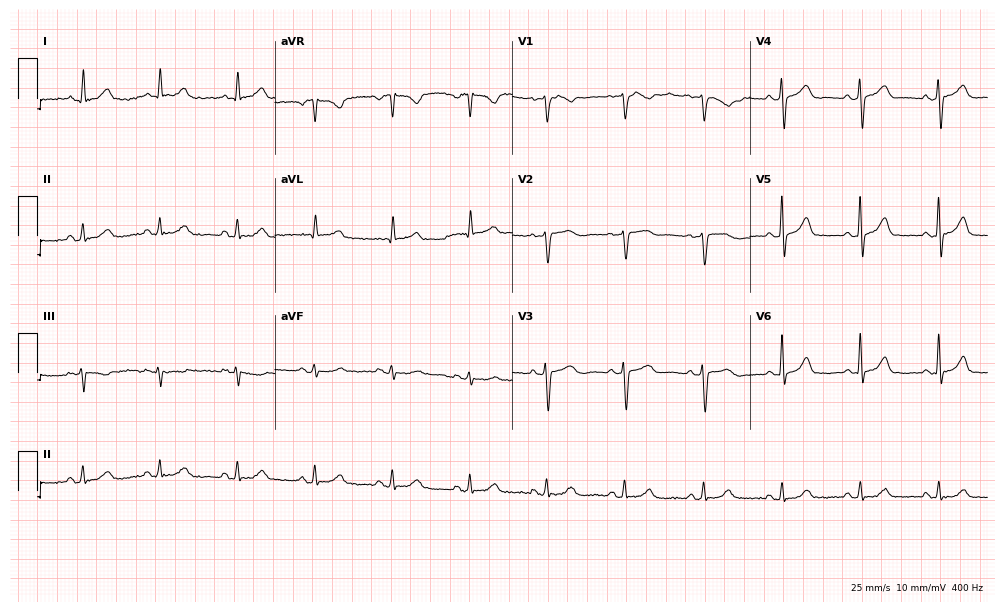
12-lead ECG (9.7-second recording at 400 Hz) from an 82-year-old female patient. Labelled as a normal ECG.